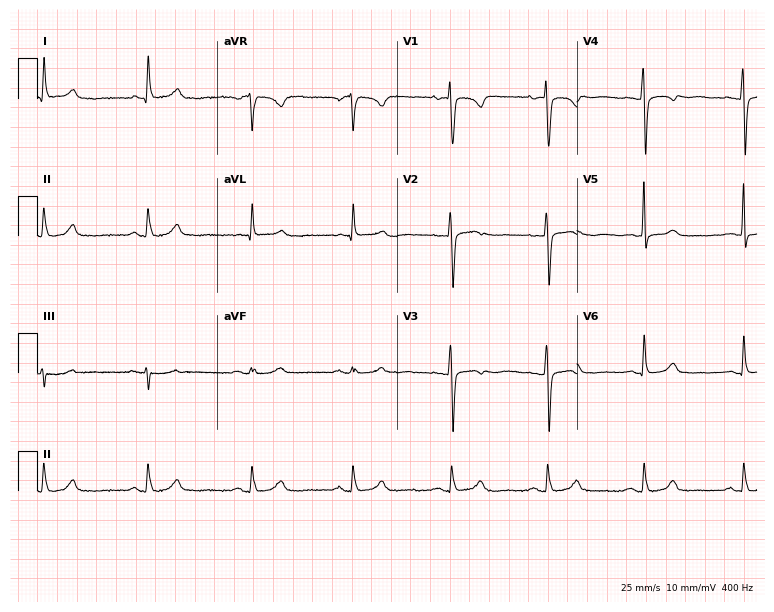
12-lead ECG (7.3-second recording at 400 Hz) from a female patient, 55 years old. Screened for six findings — first-degree AV block, right bundle branch block (RBBB), left bundle branch block (LBBB), sinus bradycardia, atrial fibrillation (AF), sinus tachycardia — none is recorded.